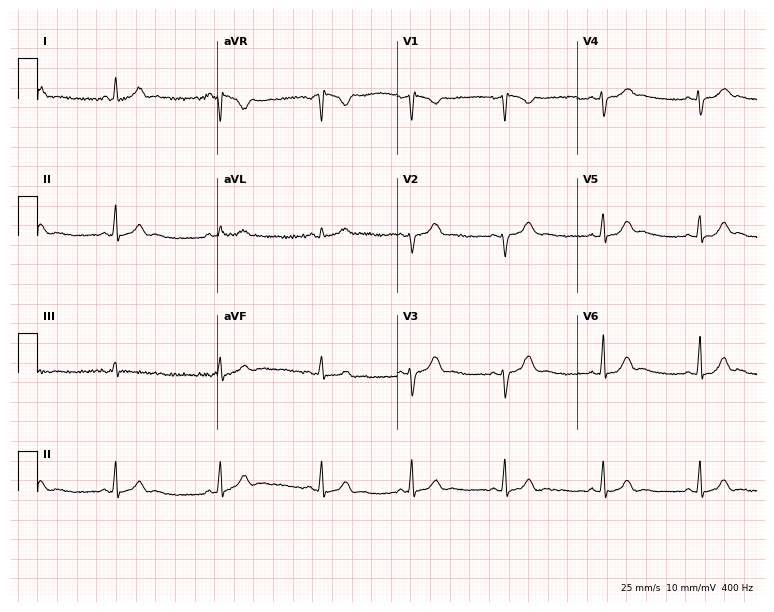
Electrocardiogram, a 22-year-old female. Overall reading on record: normal ECG.